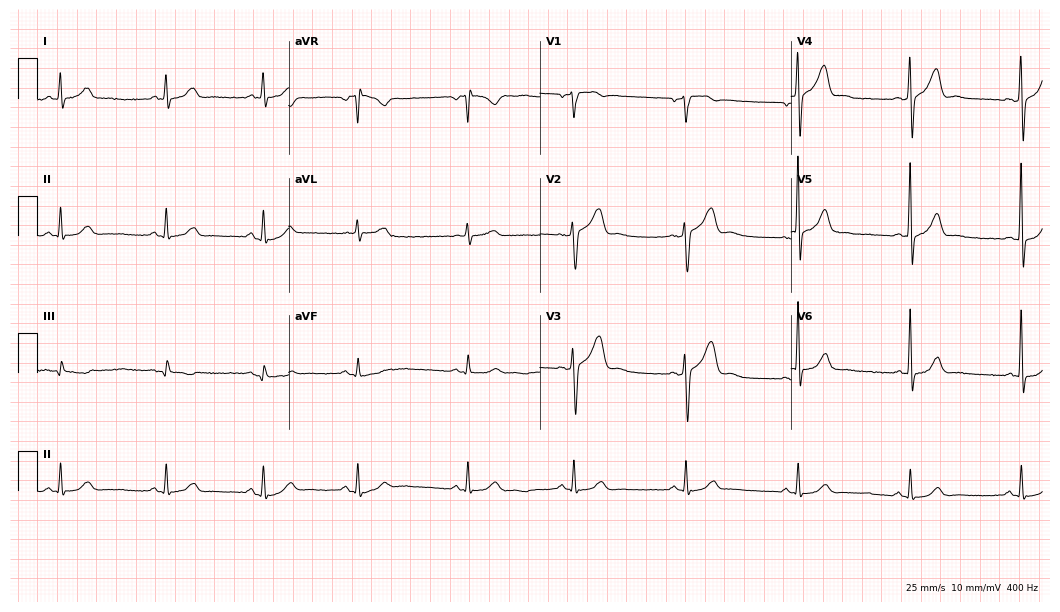
Electrocardiogram, a 57-year-old man. Of the six screened findings (first-degree AV block, right bundle branch block, left bundle branch block, sinus bradycardia, atrial fibrillation, sinus tachycardia), none is recorded. Other findings, if any, are not listed.